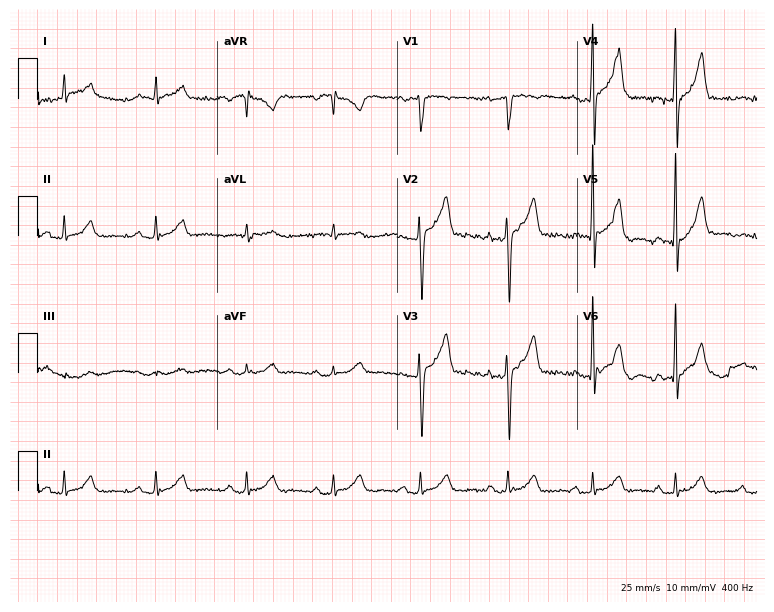
ECG (7.3-second recording at 400 Hz) — a male patient, 68 years old. Screened for six findings — first-degree AV block, right bundle branch block (RBBB), left bundle branch block (LBBB), sinus bradycardia, atrial fibrillation (AF), sinus tachycardia — none is recorded.